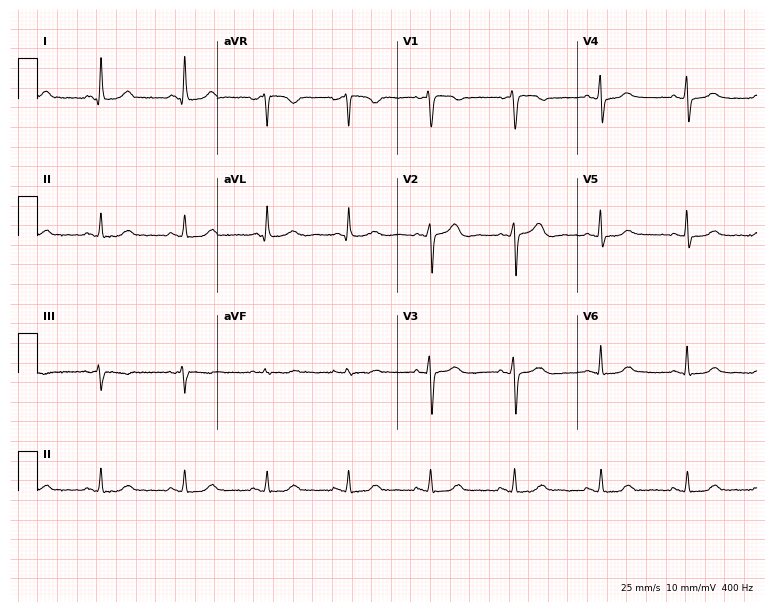
12-lead ECG from a female patient, 54 years old. Labelled as a normal ECG.